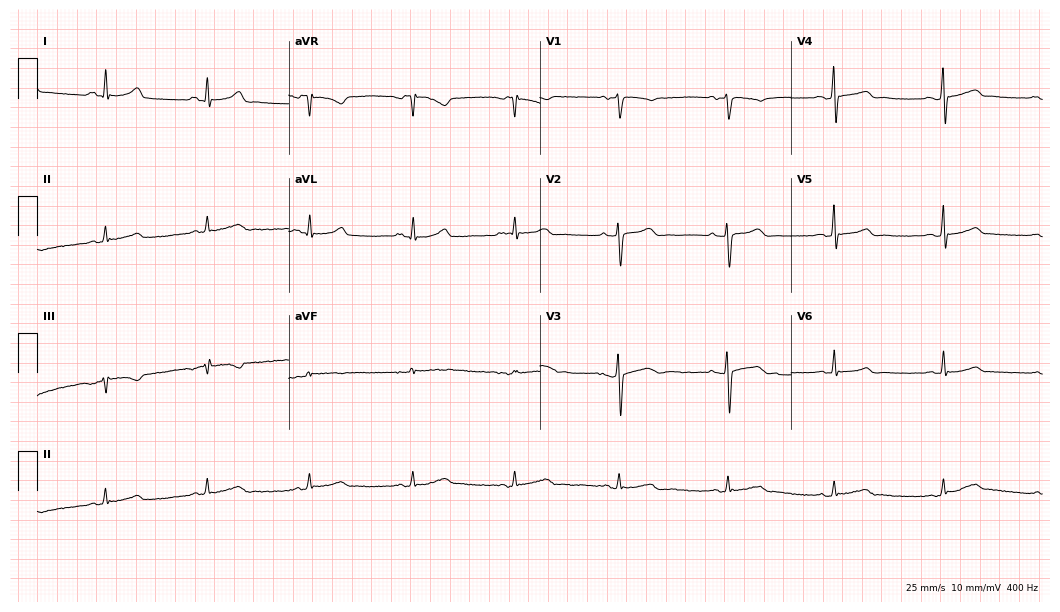
Electrocardiogram, a woman, 40 years old. Overall reading on record: normal ECG.